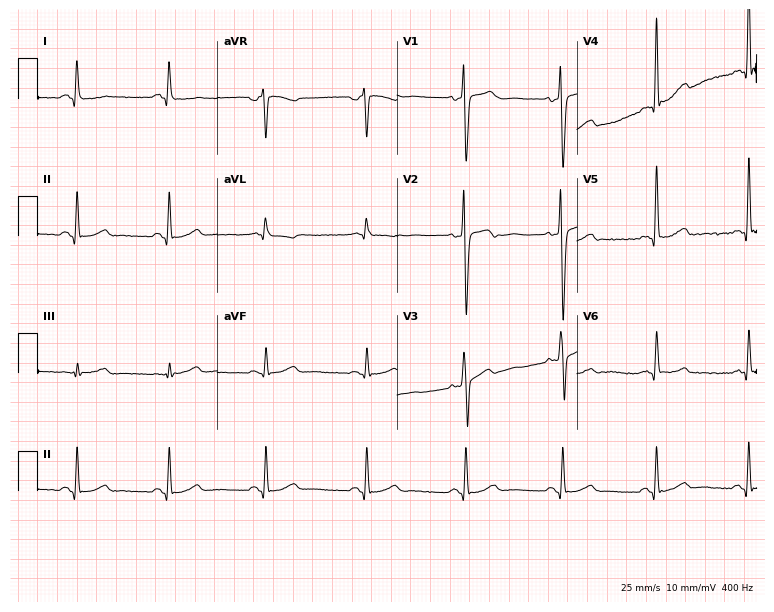
Standard 12-lead ECG recorded from a 46-year-old male (7.3-second recording at 400 Hz). None of these six findings is recorded: first-degree AV block, right bundle branch block, left bundle branch block, sinus bradycardia, atrial fibrillation, sinus tachycardia.